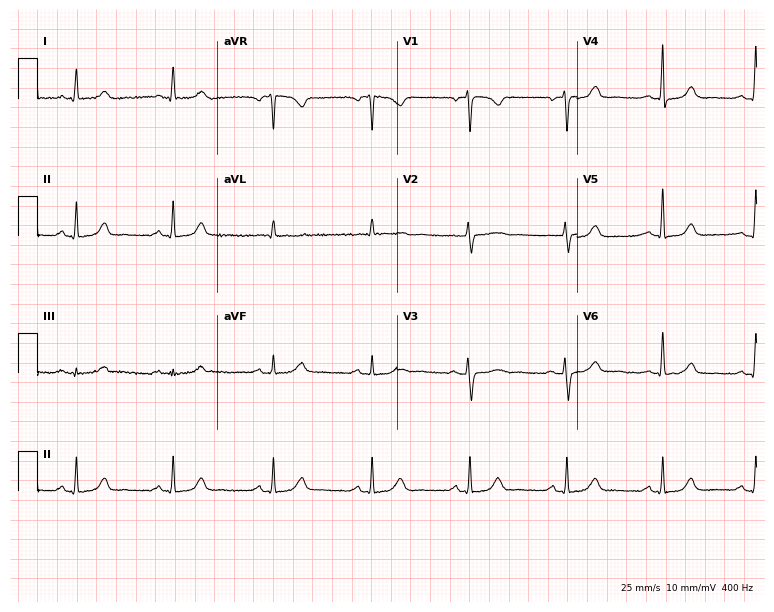
ECG — a woman, 50 years old. Labelled as a normal ECG.